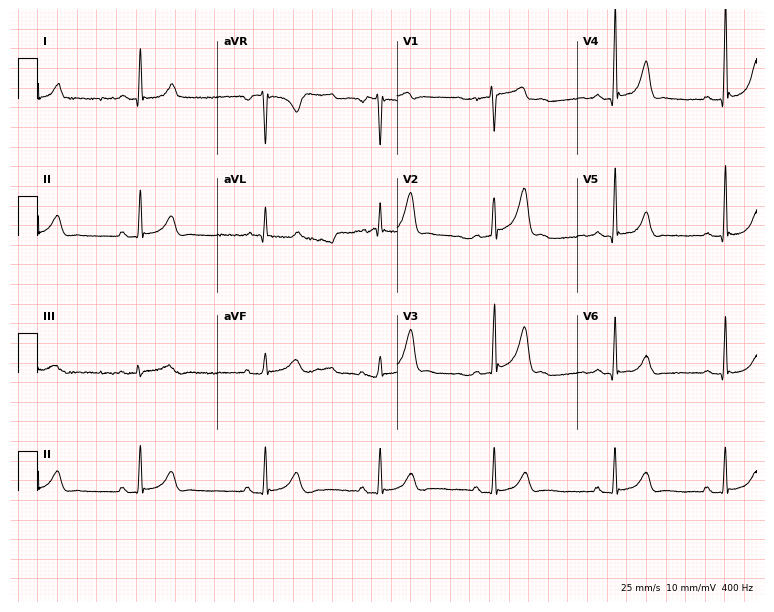
ECG — a 25-year-old woman. Screened for six findings — first-degree AV block, right bundle branch block, left bundle branch block, sinus bradycardia, atrial fibrillation, sinus tachycardia — none is recorded.